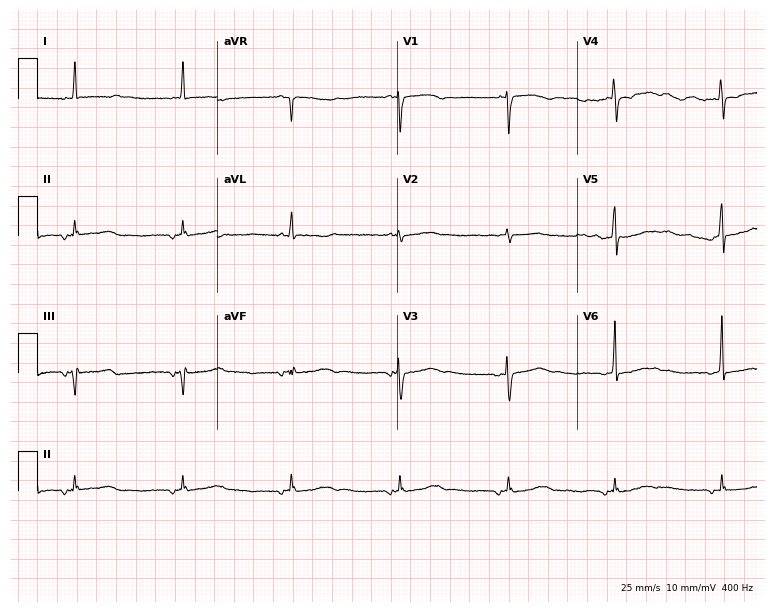
ECG — a 70-year-old female. Screened for six findings — first-degree AV block, right bundle branch block, left bundle branch block, sinus bradycardia, atrial fibrillation, sinus tachycardia — none is recorded. Other findings, if any, are not listed.